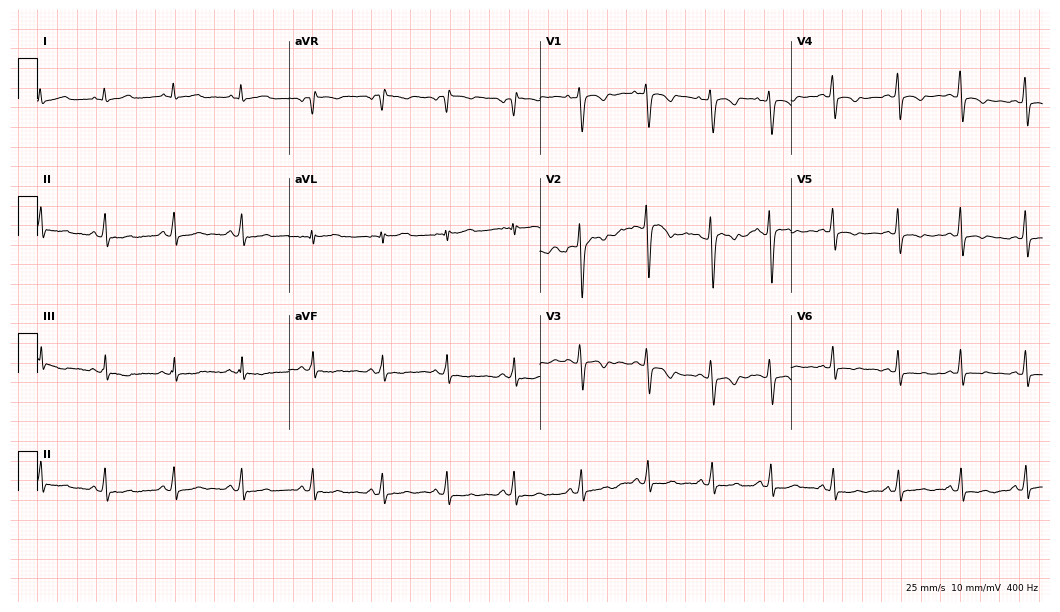
Resting 12-lead electrocardiogram (10.2-second recording at 400 Hz). Patient: a female, 38 years old. None of these six findings is recorded: first-degree AV block, right bundle branch block, left bundle branch block, sinus bradycardia, atrial fibrillation, sinus tachycardia. Only these six findings were labelled.